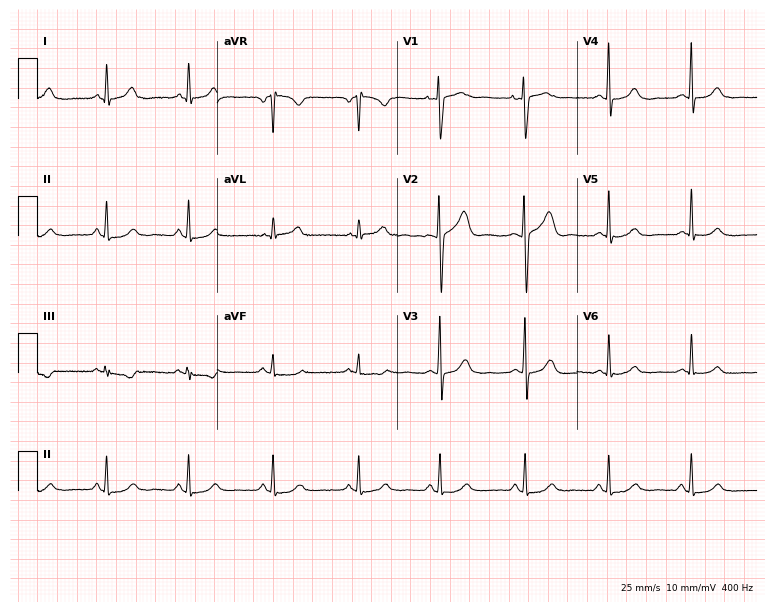
Electrocardiogram, a woman, 35 years old. Of the six screened findings (first-degree AV block, right bundle branch block, left bundle branch block, sinus bradycardia, atrial fibrillation, sinus tachycardia), none is recorded. Only these six findings were labelled.